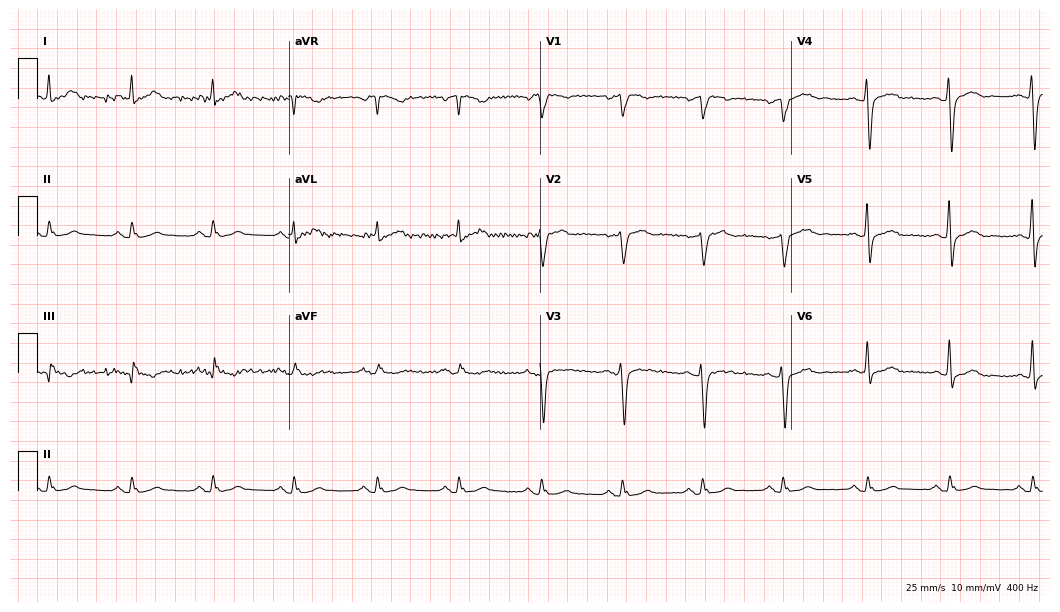
12-lead ECG (10.2-second recording at 400 Hz) from a 59-year-old male patient. Screened for six findings — first-degree AV block, right bundle branch block, left bundle branch block, sinus bradycardia, atrial fibrillation, sinus tachycardia — none is recorded.